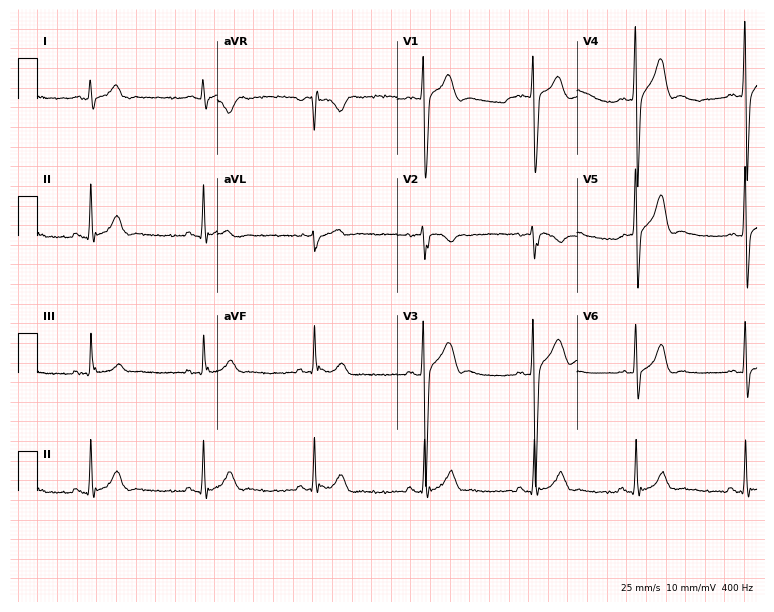
12-lead ECG from a 21-year-old male patient (7.3-second recording at 400 Hz). Recorded interpretation: within normal limits.